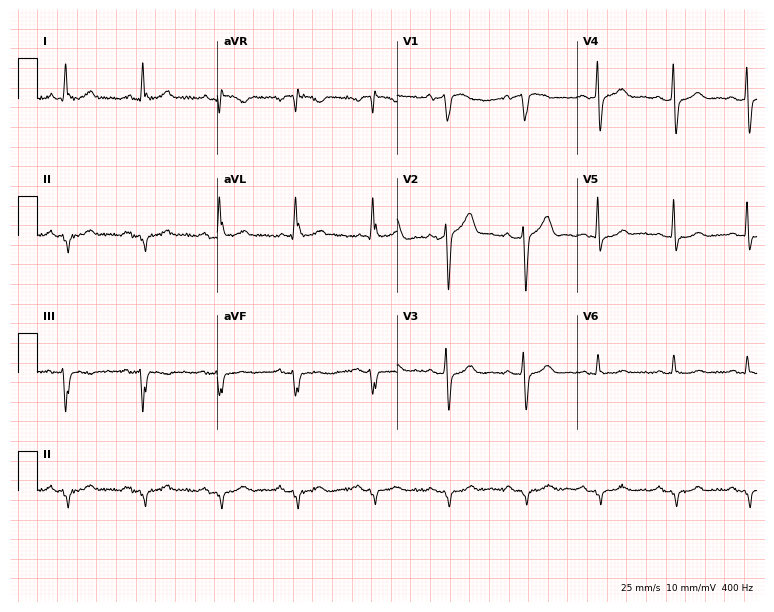
ECG (7.3-second recording at 400 Hz) — a male patient, 81 years old. Screened for six findings — first-degree AV block, right bundle branch block (RBBB), left bundle branch block (LBBB), sinus bradycardia, atrial fibrillation (AF), sinus tachycardia — none is recorded. Other findings, if any, are not listed.